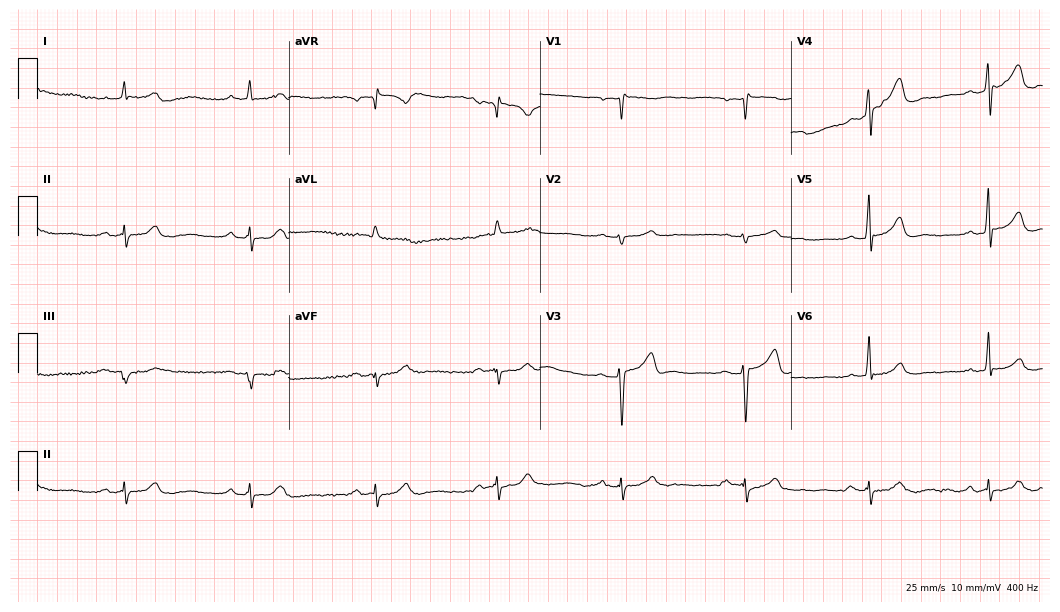
ECG — a male, 77 years old. Screened for six findings — first-degree AV block, right bundle branch block (RBBB), left bundle branch block (LBBB), sinus bradycardia, atrial fibrillation (AF), sinus tachycardia — none is recorded. Findings outside these six are not listed.